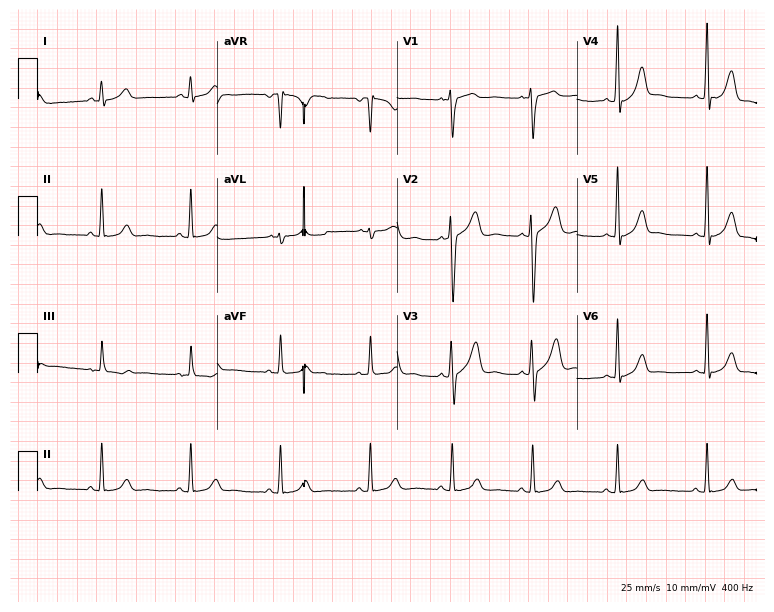
ECG (7.3-second recording at 400 Hz) — a female patient, 20 years old. Screened for six findings — first-degree AV block, right bundle branch block, left bundle branch block, sinus bradycardia, atrial fibrillation, sinus tachycardia — none is recorded. Findings outside these six are not listed.